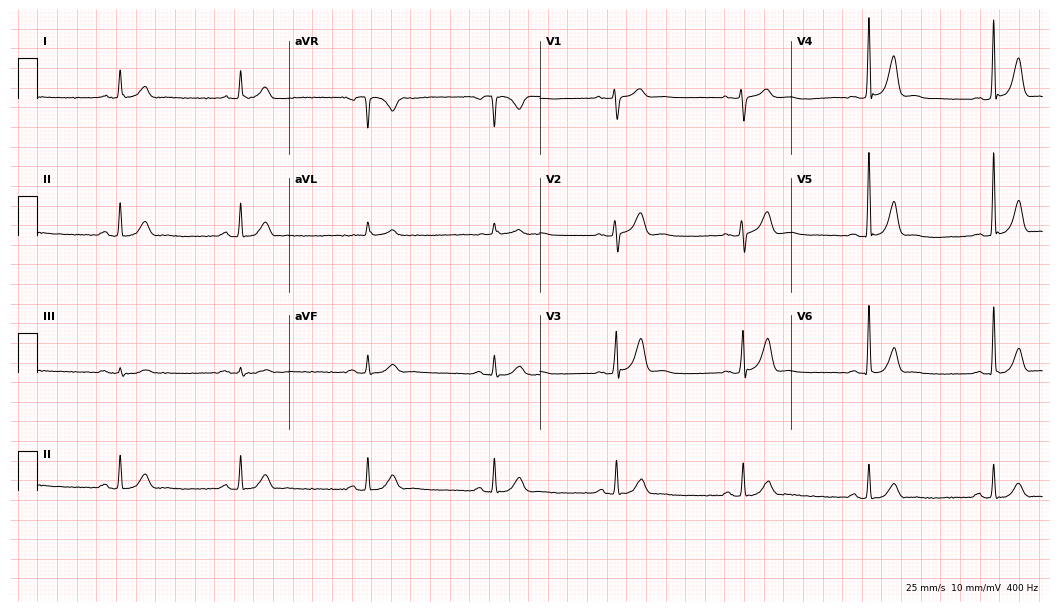
Resting 12-lead electrocardiogram. Patient: a 53-year-old male. Read as a normal ECG.